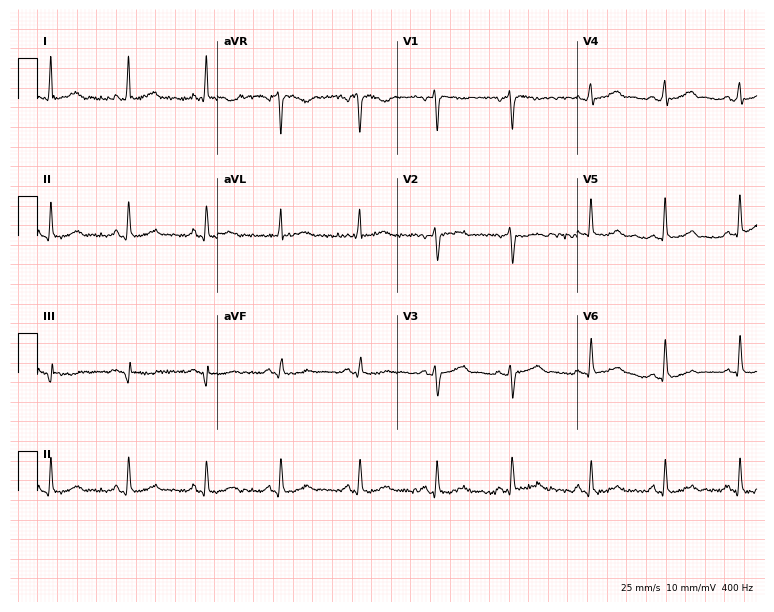
ECG (7.3-second recording at 400 Hz) — a 40-year-old woman. Screened for six findings — first-degree AV block, right bundle branch block, left bundle branch block, sinus bradycardia, atrial fibrillation, sinus tachycardia — none is recorded.